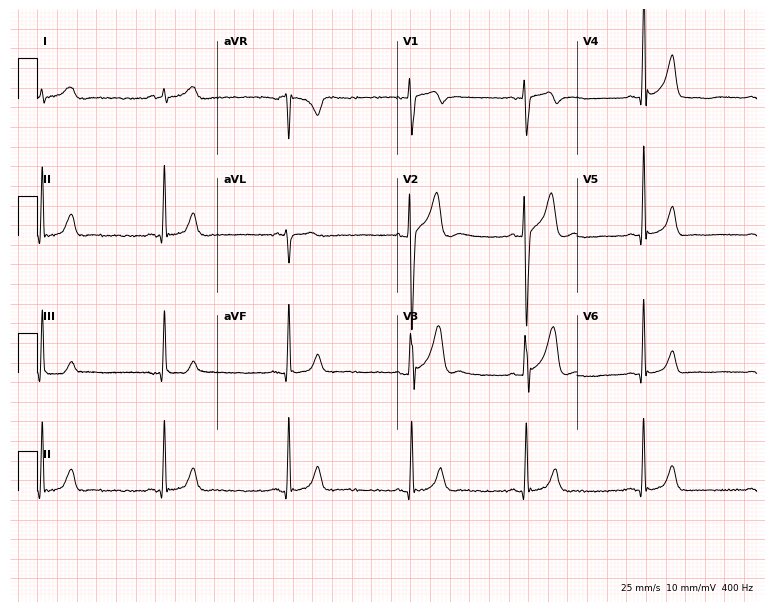
Resting 12-lead electrocardiogram. Patient: a male, 28 years old. None of these six findings is recorded: first-degree AV block, right bundle branch block, left bundle branch block, sinus bradycardia, atrial fibrillation, sinus tachycardia.